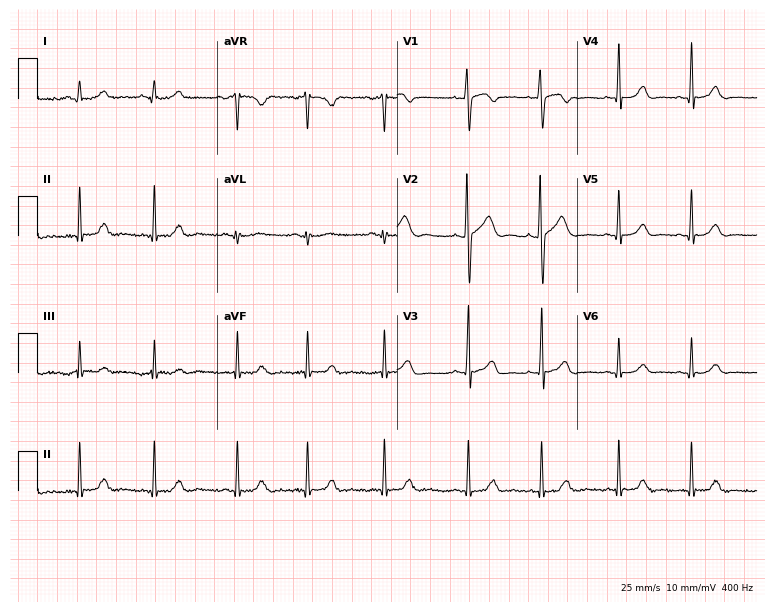
Electrocardiogram, a 28-year-old female. Overall reading on record: normal ECG.